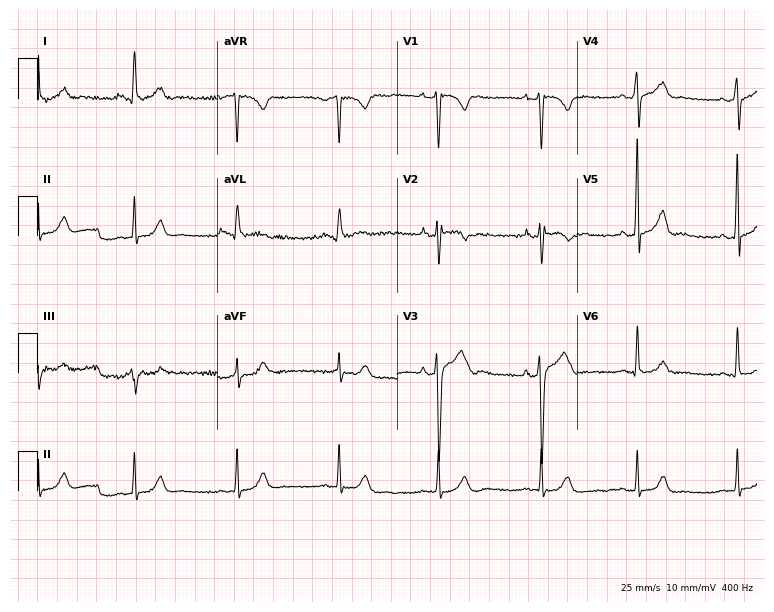
12-lead ECG from a man, 29 years old. No first-degree AV block, right bundle branch block, left bundle branch block, sinus bradycardia, atrial fibrillation or sinus tachycardia recorded for this tracing.